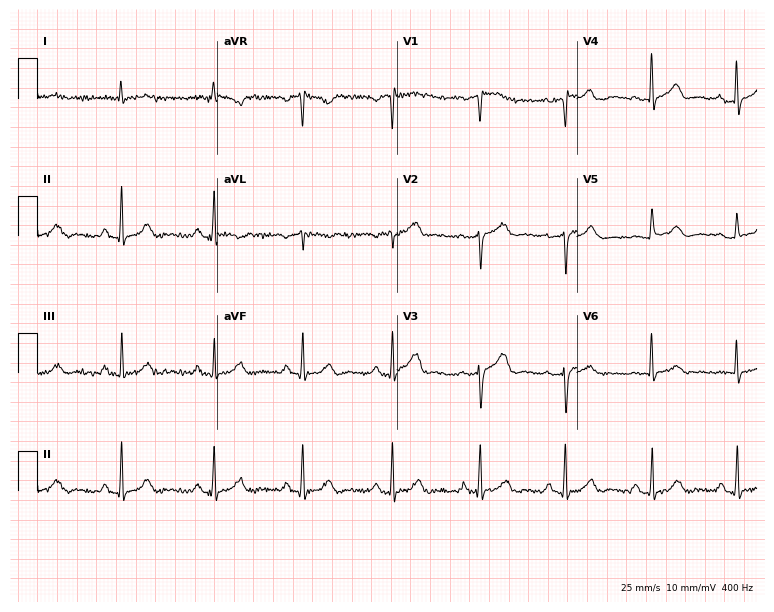
ECG (7.3-second recording at 400 Hz) — a 74-year-old man. Labelled as a normal ECG.